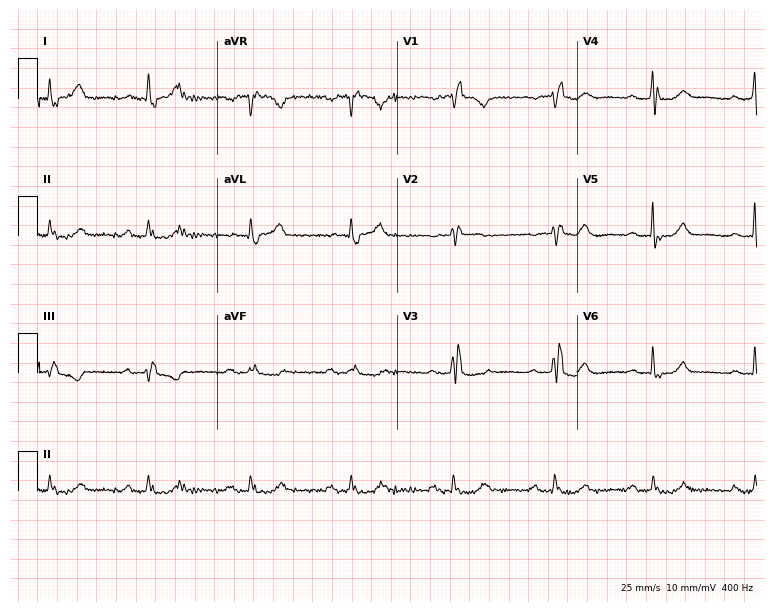
Electrocardiogram (7.3-second recording at 400 Hz), a woman, 78 years old. Interpretation includes first-degree AV block, right bundle branch block (RBBB).